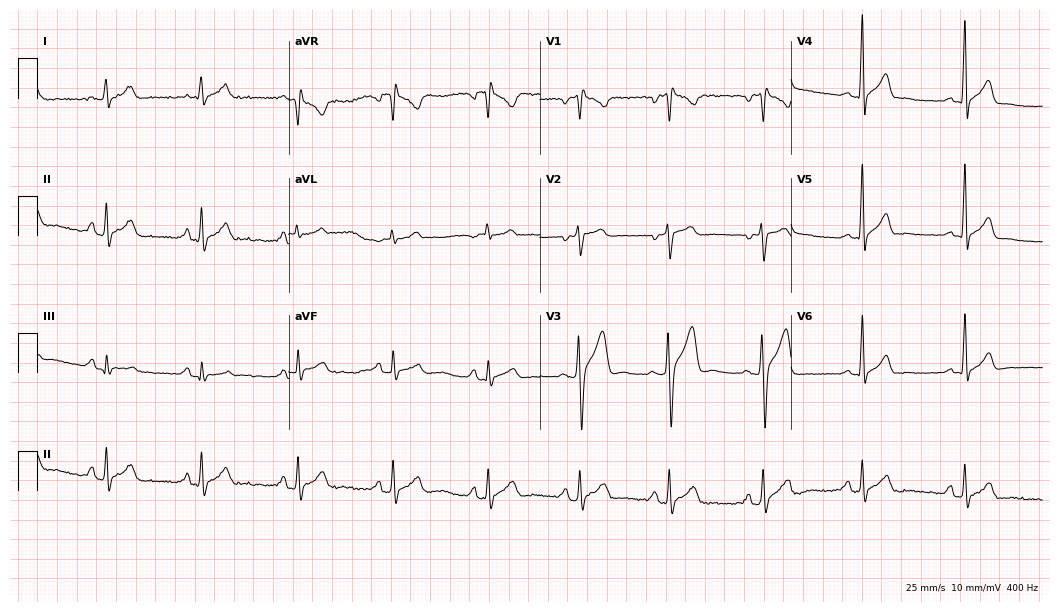
12-lead ECG from a male, 32 years old. No first-degree AV block, right bundle branch block, left bundle branch block, sinus bradycardia, atrial fibrillation or sinus tachycardia recorded for this tracing.